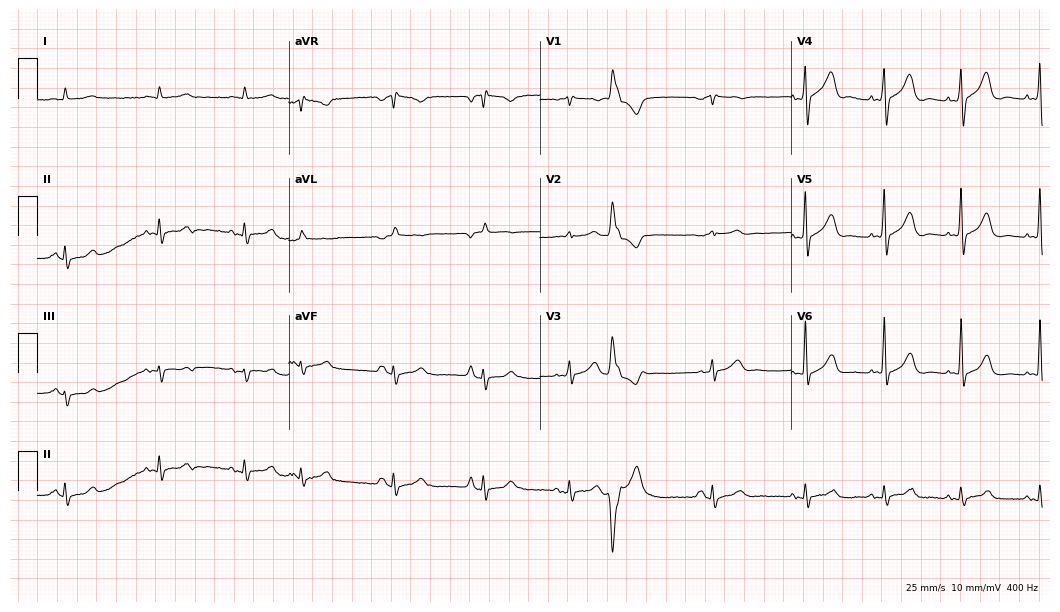
Resting 12-lead electrocardiogram. Patient: a male, 81 years old. None of these six findings is recorded: first-degree AV block, right bundle branch block, left bundle branch block, sinus bradycardia, atrial fibrillation, sinus tachycardia. Only these six findings were labelled.